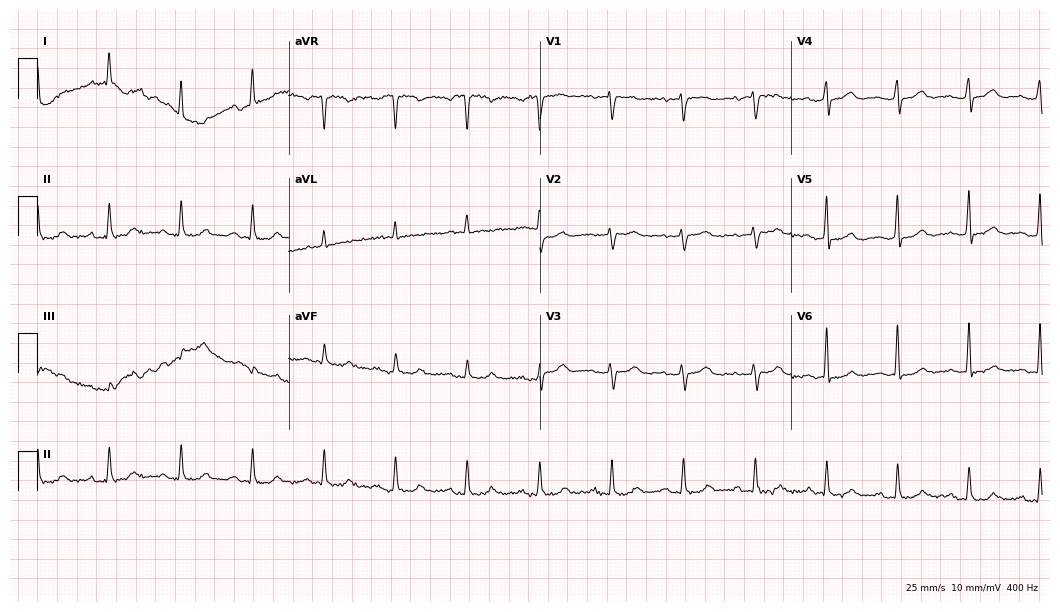
Electrocardiogram (10.2-second recording at 400 Hz), a female patient, 77 years old. Of the six screened findings (first-degree AV block, right bundle branch block, left bundle branch block, sinus bradycardia, atrial fibrillation, sinus tachycardia), none is recorded. Only these six findings were labelled.